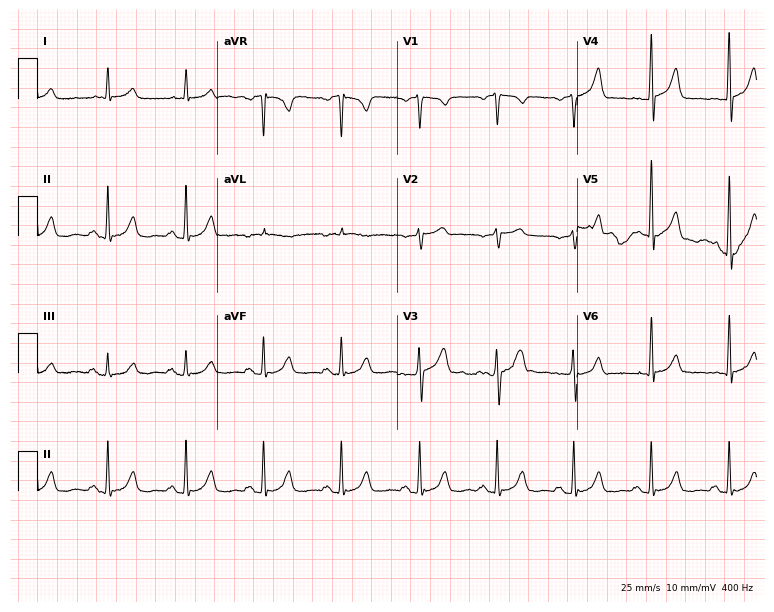
ECG — a male, 65 years old. Labelled as a normal ECG.